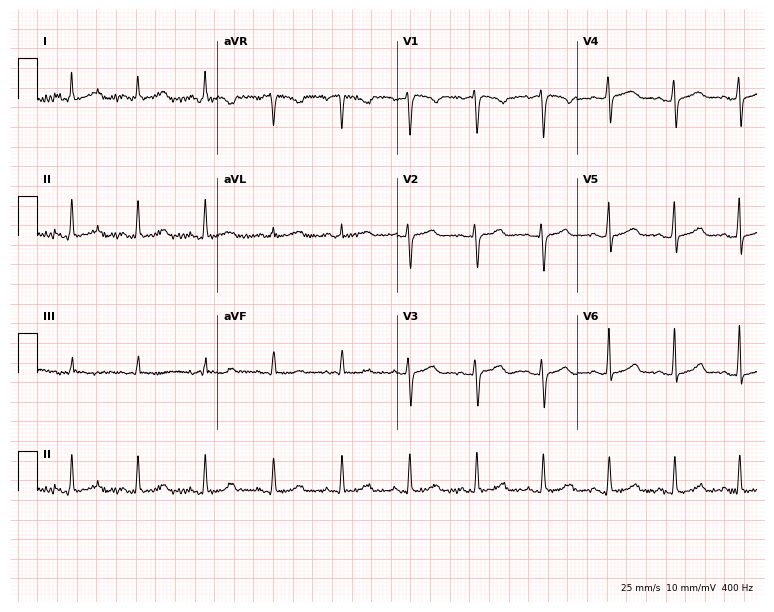
12-lead ECG from a woman, 33 years old. Screened for six findings — first-degree AV block, right bundle branch block, left bundle branch block, sinus bradycardia, atrial fibrillation, sinus tachycardia — none is recorded. Findings outside these six are not listed.